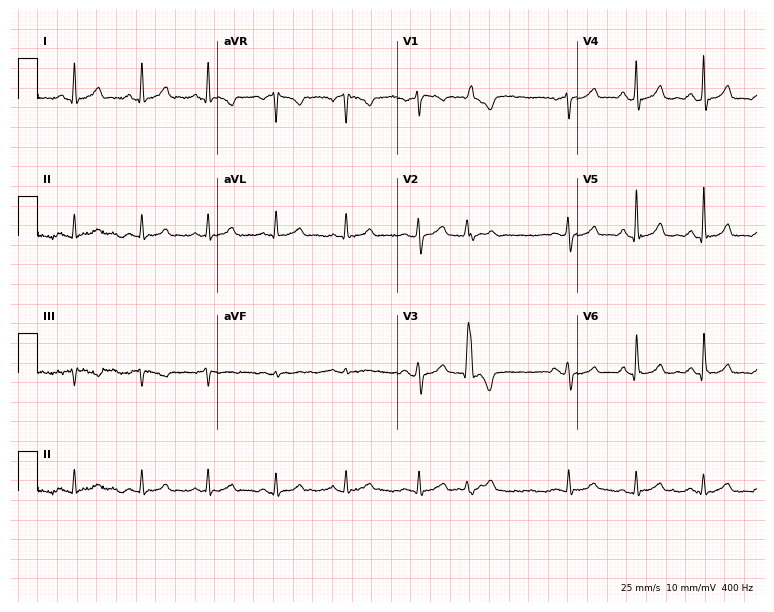
ECG — a female, 51 years old. Labelled as a normal ECG.